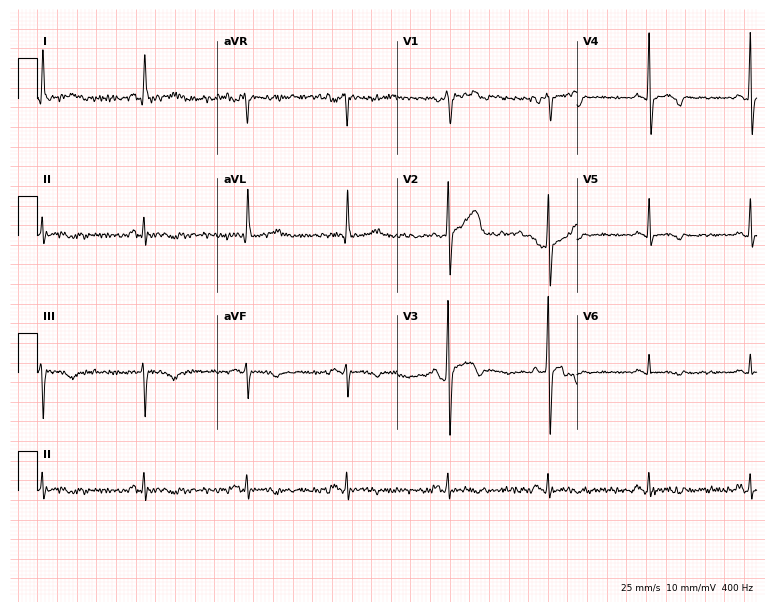
ECG (7.3-second recording at 400 Hz) — a 38-year-old male. Screened for six findings — first-degree AV block, right bundle branch block (RBBB), left bundle branch block (LBBB), sinus bradycardia, atrial fibrillation (AF), sinus tachycardia — none is recorded.